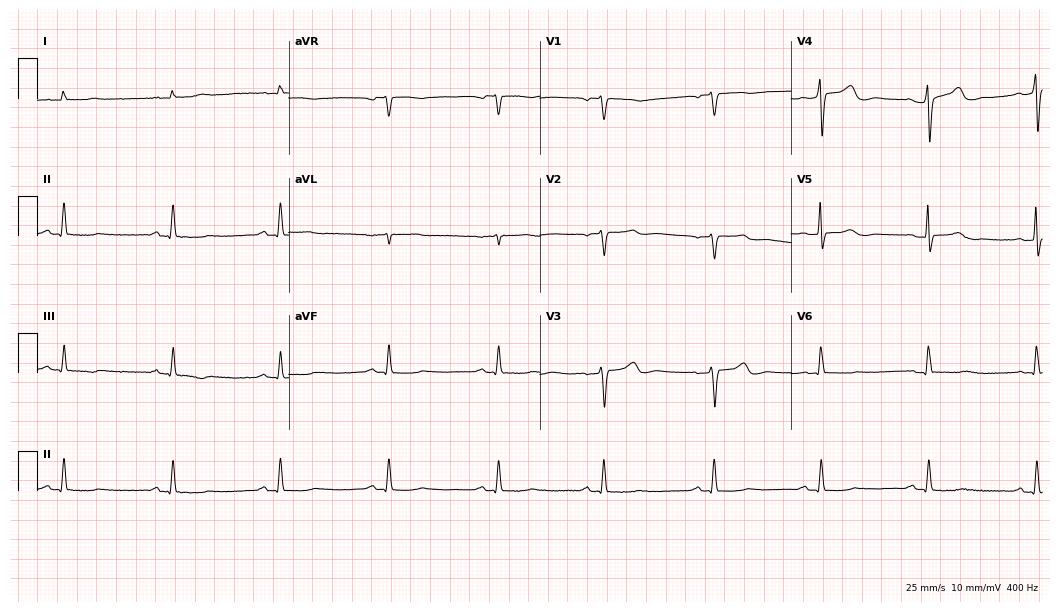
Standard 12-lead ECG recorded from a 63-year-old male. None of these six findings is recorded: first-degree AV block, right bundle branch block, left bundle branch block, sinus bradycardia, atrial fibrillation, sinus tachycardia.